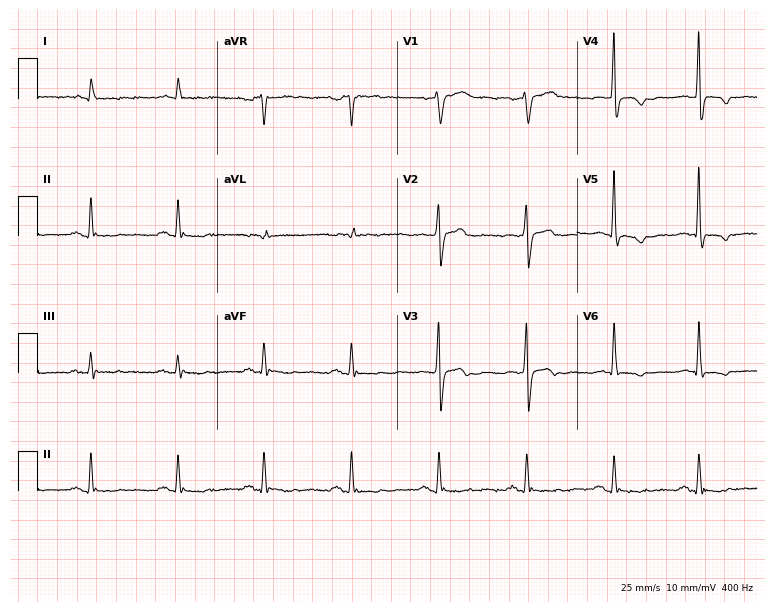
Resting 12-lead electrocardiogram (7.3-second recording at 400 Hz). Patient: a 72-year-old male. None of these six findings is recorded: first-degree AV block, right bundle branch block (RBBB), left bundle branch block (LBBB), sinus bradycardia, atrial fibrillation (AF), sinus tachycardia.